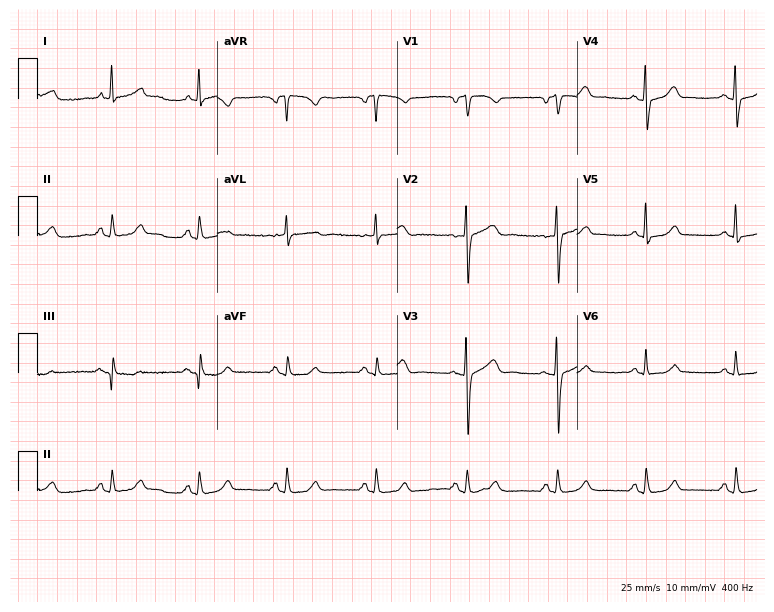
ECG — a female patient, 65 years old. Labelled as a normal ECG.